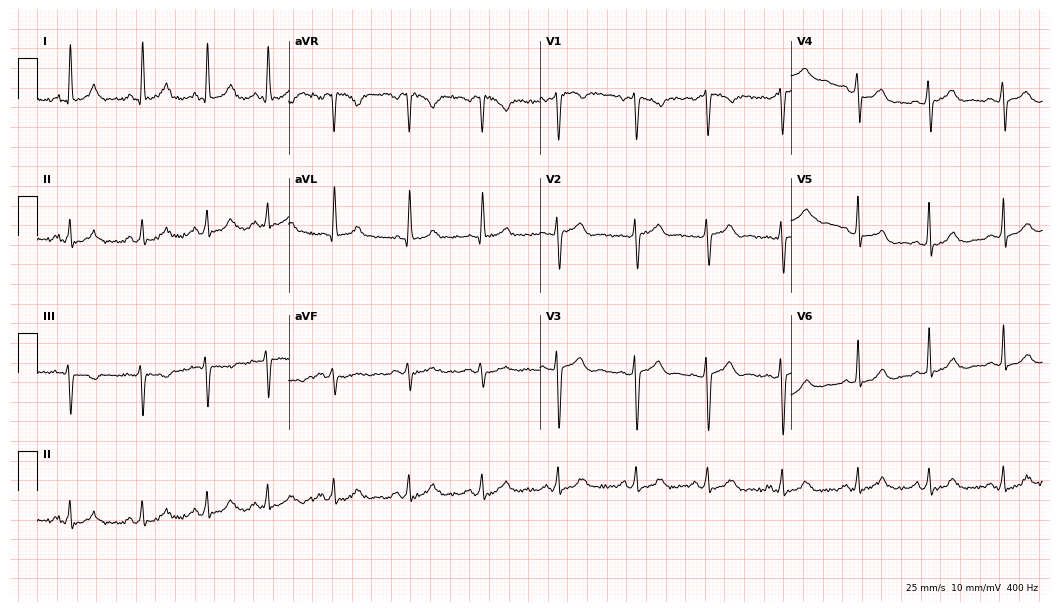
ECG — a 23-year-old female patient. Labelled as a normal ECG.